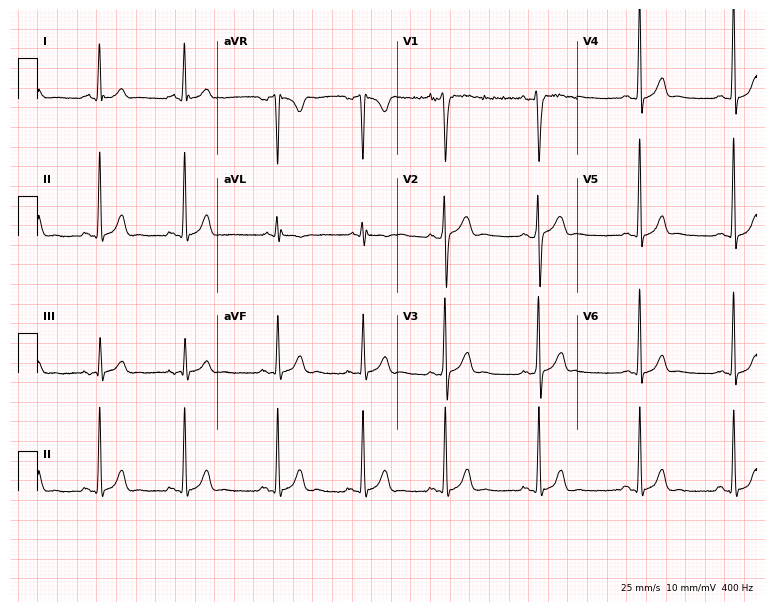
12-lead ECG (7.3-second recording at 400 Hz) from a male, 22 years old. Screened for six findings — first-degree AV block, right bundle branch block, left bundle branch block, sinus bradycardia, atrial fibrillation, sinus tachycardia — none is recorded. Other findings, if any, are not listed.